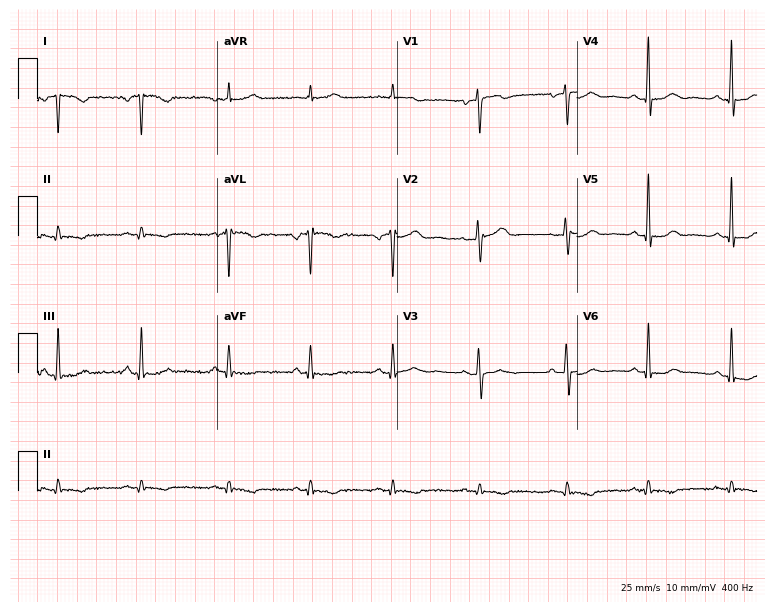
ECG (7.3-second recording at 400 Hz) — a 37-year-old woman. Screened for six findings — first-degree AV block, right bundle branch block, left bundle branch block, sinus bradycardia, atrial fibrillation, sinus tachycardia — none is recorded. Findings outside these six are not listed.